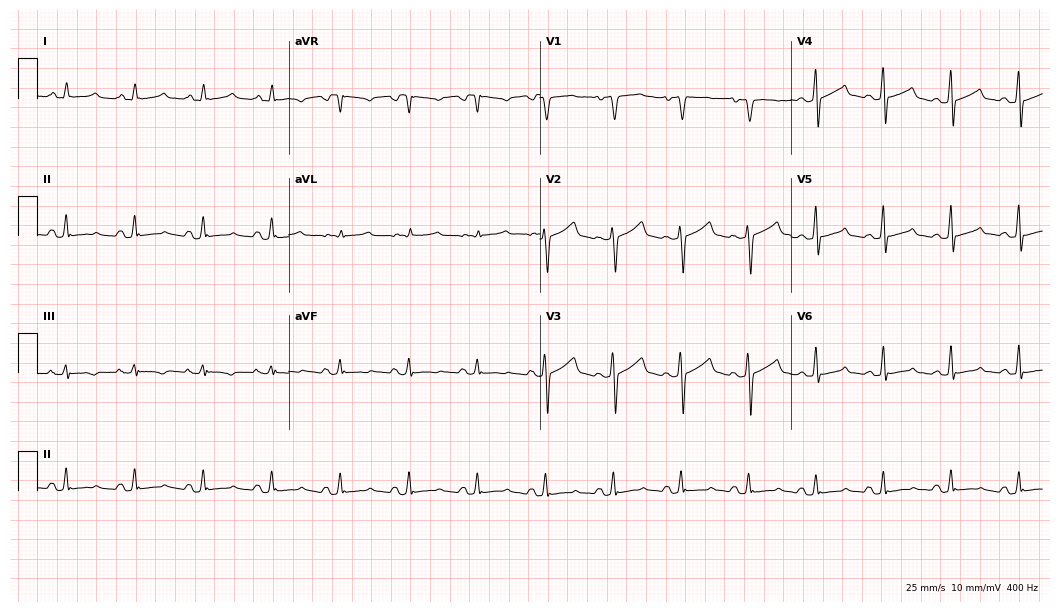
Resting 12-lead electrocardiogram (10.2-second recording at 400 Hz). Patient: a 42-year-old male. Read as a normal ECG.